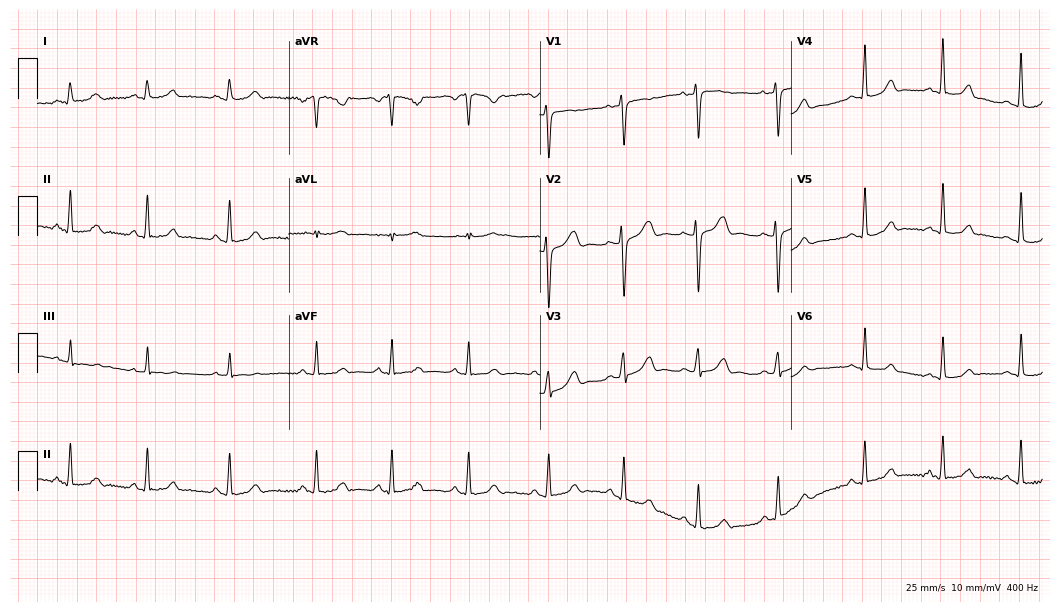
12-lead ECG (10.2-second recording at 400 Hz) from a female patient, 29 years old. Labelled as a normal ECG.